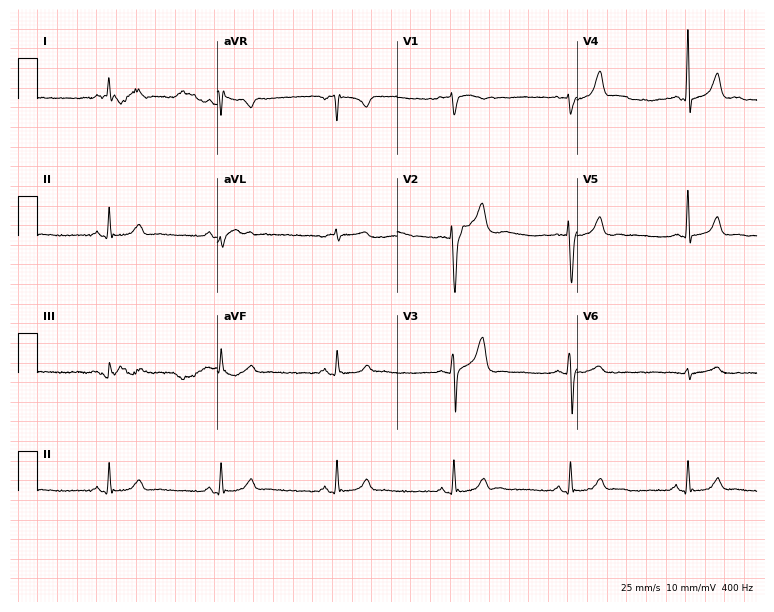
Resting 12-lead electrocardiogram. Patient: a 52-year-old male. Read as a normal ECG.